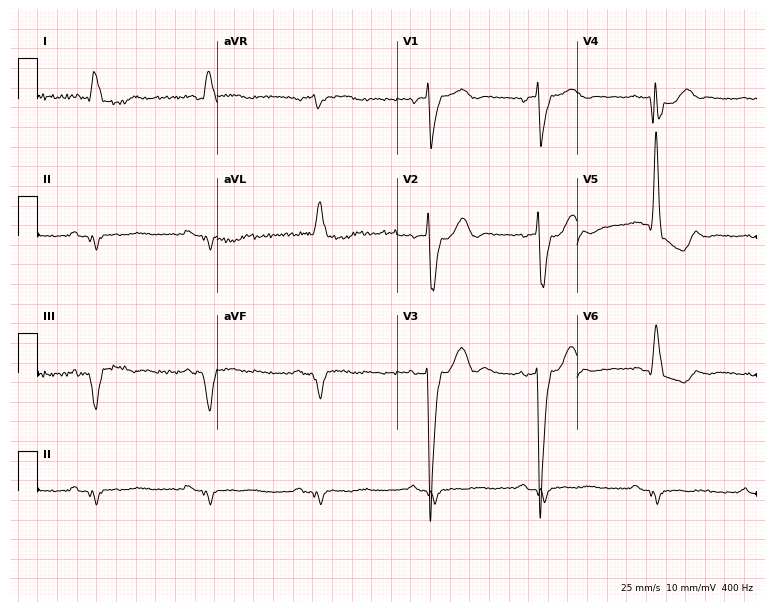
Electrocardiogram (7.3-second recording at 400 Hz), a 78-year-old man. Of the six screened findings (first-degree AV block, right bundle branch block, left bundle branch block, sinus bradycardia, atrial fibrillation, sinus tachycardia), none is recorded.